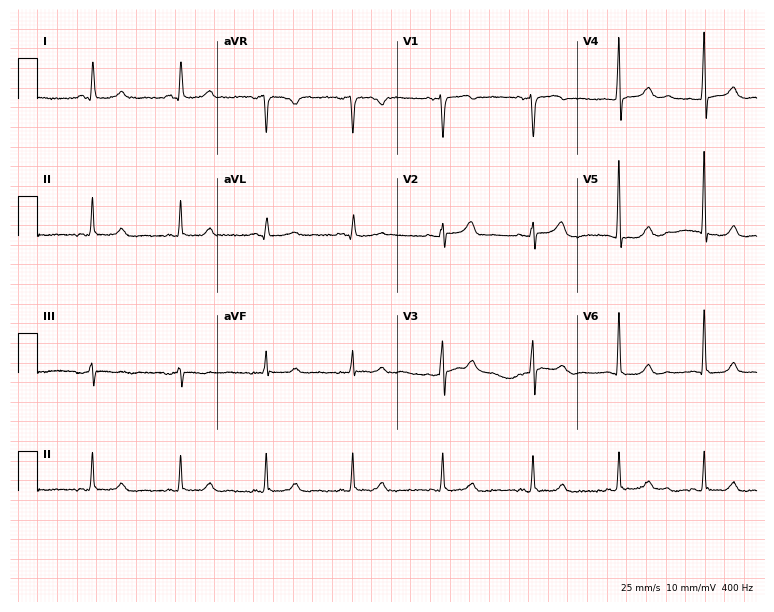
ECG (7.3-second recording at 400 Hz) — a 69-year-old woman. Labelled as a normal ECG.